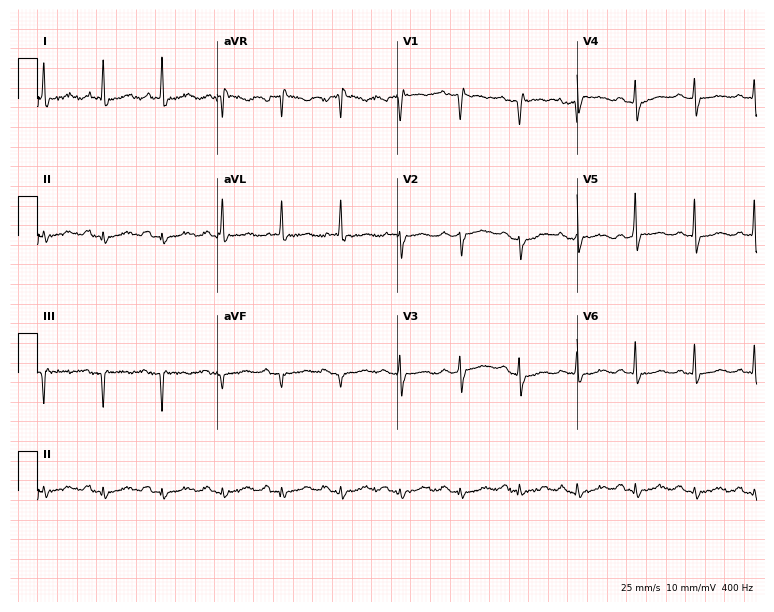
12-lead ECG from a 76-year-old woman (7.3-second recording at 400 Hz). No first-degree AV block, right bundle branch block (RBBB), left bundle branch block (LBBB), sinus bradycardia, atrial fibrillation (AF) or sinus tachycardia recorded for this tracing. Findings outside these six are not listed.